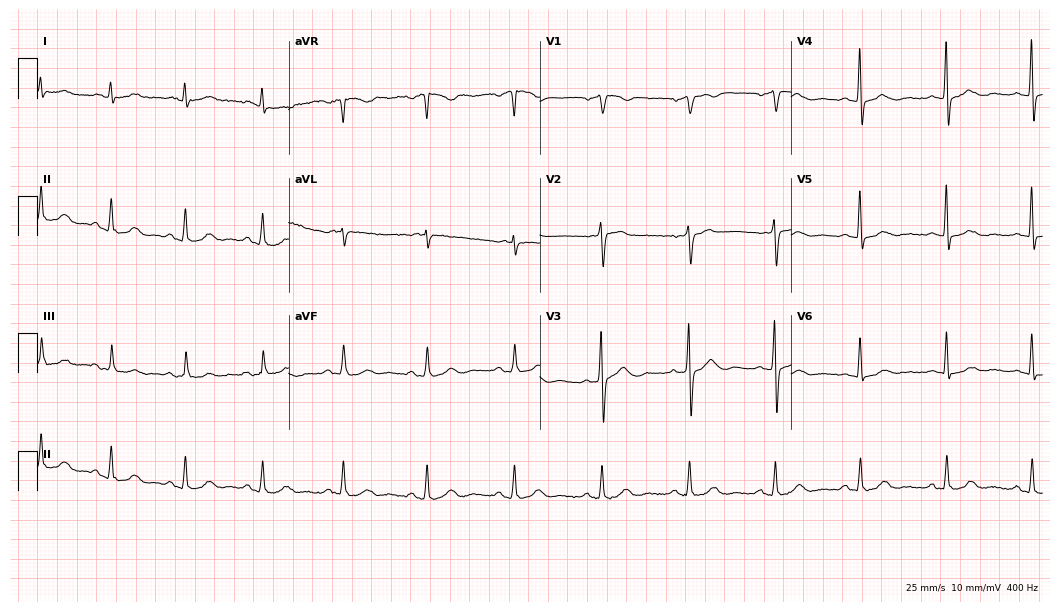
Electrocardiogram (10.2-second recording at 400 Hz), an 81-year-old male patient. Overall reading on record: normal ECG.